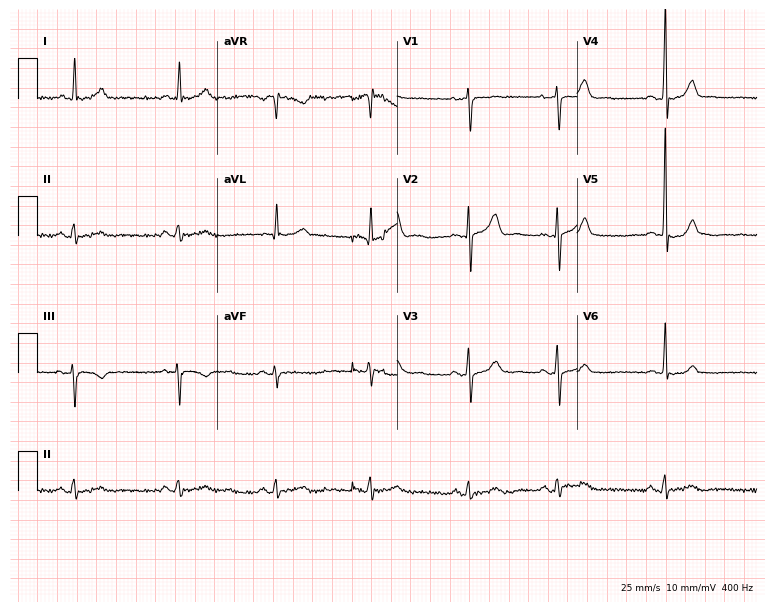
ECG (7.3-second recording at 400 Hz) — a 45-year-old male patient. Screened for six findings — first-degree AV block, right bundle branch block, left bundle branch block, sinus bradycardia, atrial fibrillation, sinus tachycardia — none is recorded. Only these six findings were labelled.